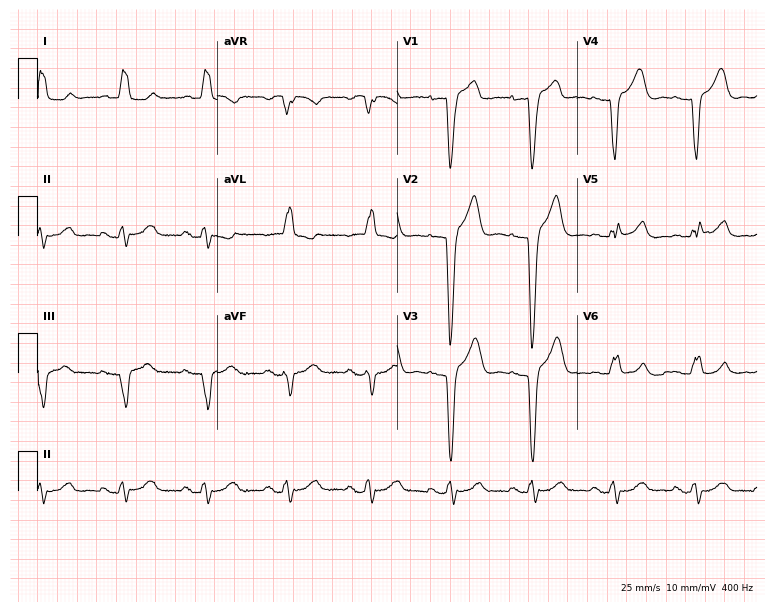
Standard 12-lead ECG recorded from a female patient, 82 years old (7.3-second recording at 400 Hz). The tracing shows left bundle branch block.